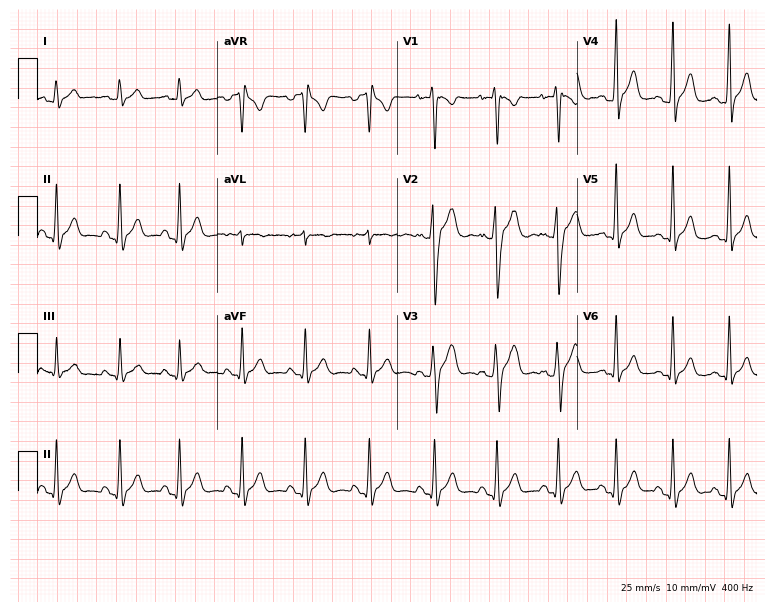
Standard 12-lead ECG recorded from an 18-year-old male (7.3-second recording at 400 Hz). Read as a normal ECG.